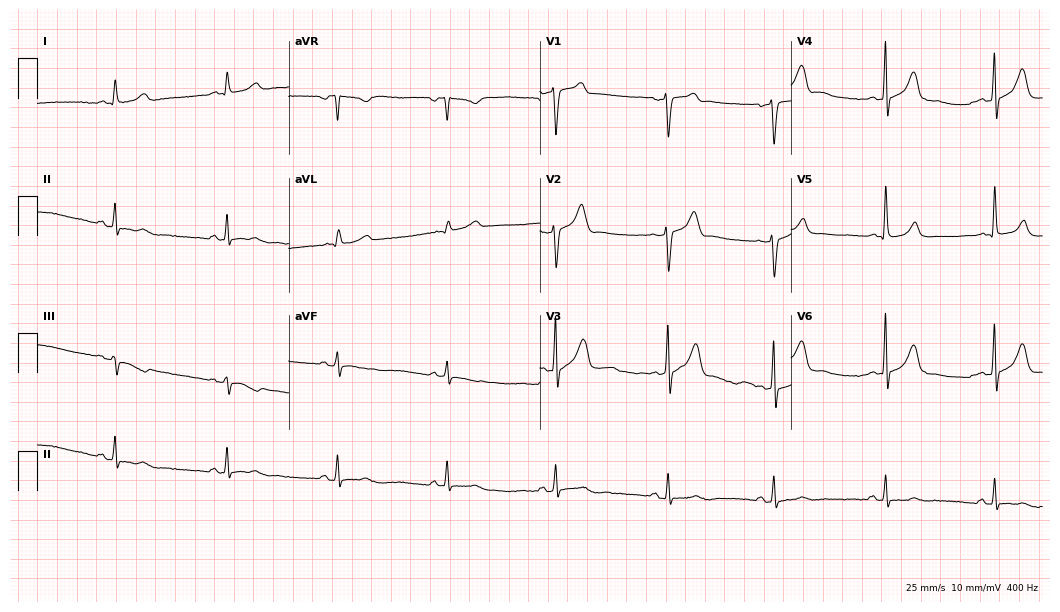
Electrocardiogram (10.2-second recording at 400 Hz), a 64-year-old male. Of the six screened findings (first-degree AV block, right bundle branch block (RBBB), left bundle branch block (LBBB), sinus bradycardia, atrial fibrillation (AF), sinus tachycardia), none is recorded. Findings outside these six are not listed.